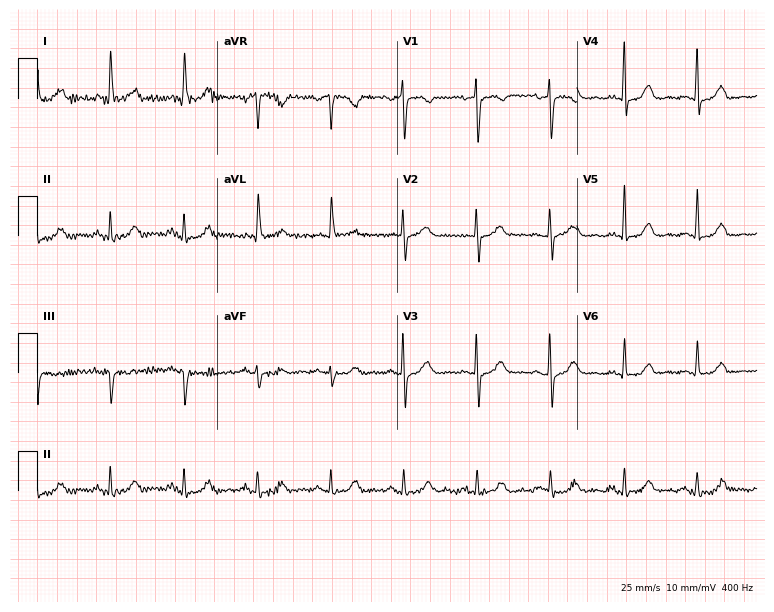
12-lead ECG (7.3-second recording at 400 Hz) from a 75-year-old female. Labelled as a normal ECG.